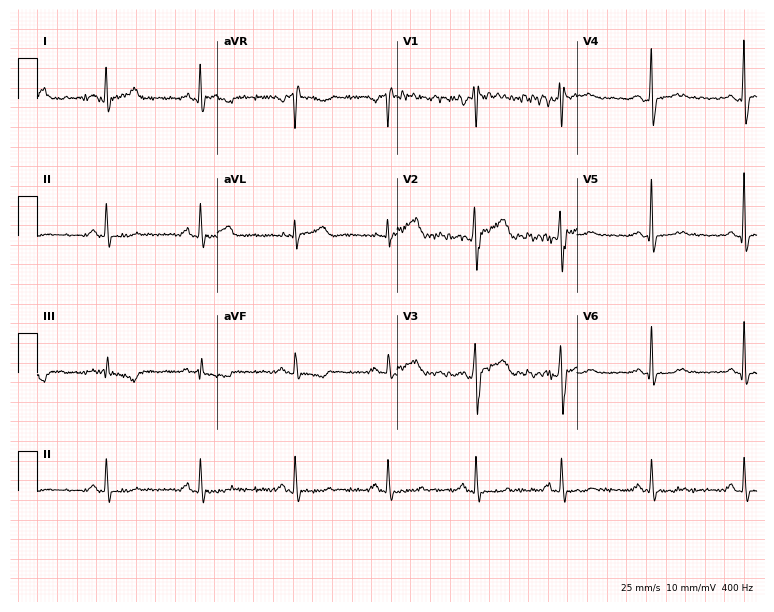
Standard 12-lead ECG recorded from a 49-year-old male. None of these six findings is recorded: first-degree AV block, right bundle branch block, left bundle branch block, sinus bradycardia, atrial fibrillation, sinus tachycardia. Other findings, if any, are not listed.